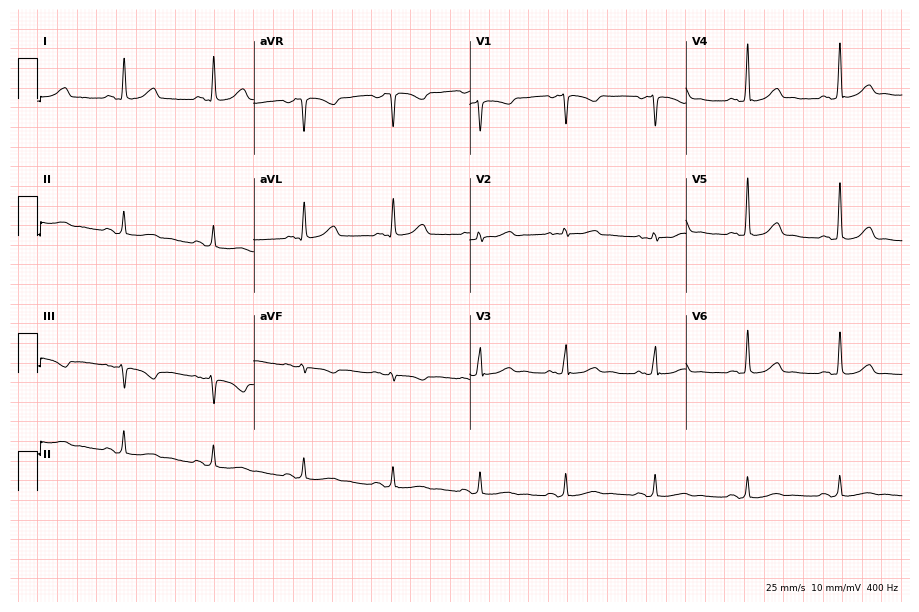
12-lead ECG from a female patient, 48 years old (8.8-second recording at 400 Hz). No first-degree AV block, right bundle branch block, left bundle branch block, sinus bradycardia, atrial fibrillation or sinus tachycardia recorded for this tracing. Other findings, if any, are not listed.